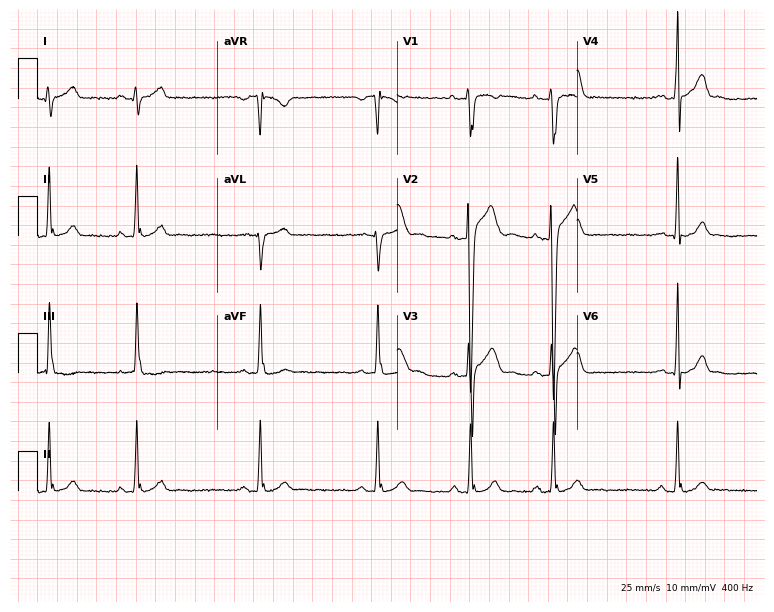
ECG — a male patient, 18 years old. Screened for six findings — first-degree AV block, right bundle branch block, left bundle branch block, sinus bradycardia, atrial fibrillation, sinus tachycardia — none is recorded. Other findings, if any, are not listed.